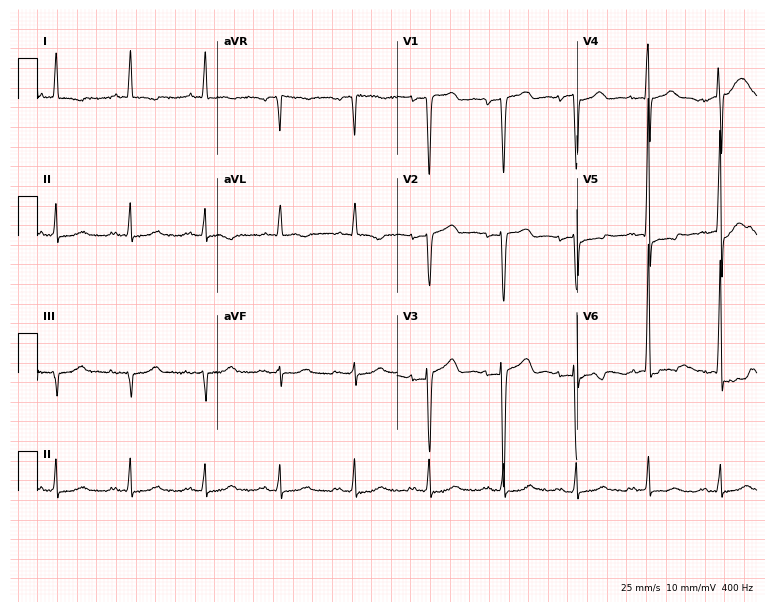
Resting 12-lead electrocardiogram (7.3-second recording at 400 Hz). Patient: a male, 85 years old. Read as a normal ECG.